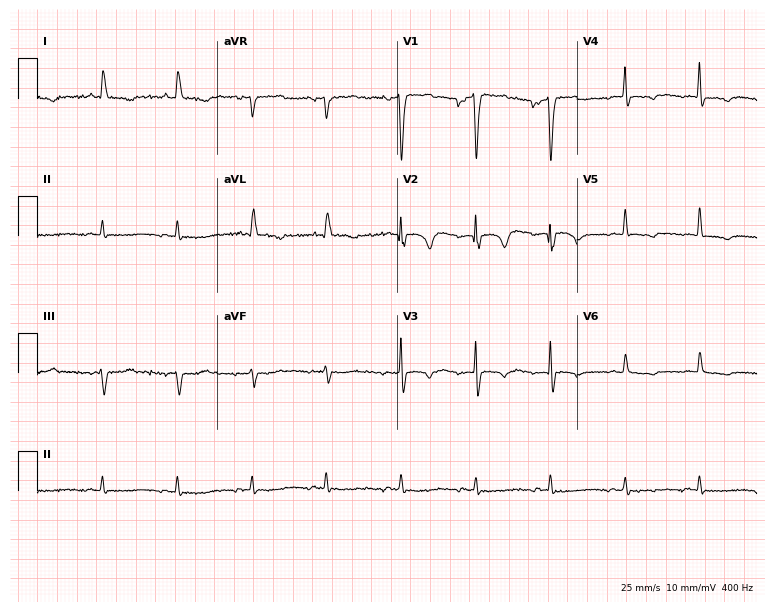
12-lead ECG from an 83-year-old female. No first-degree AV block, right bundle branch block (RBBB), left bundle branch block (LBBB), sinus bradycardia, atrial fibrillation (AF) or sinus tachycardia recorded for this tracing. Other findings, if any, are not listed.